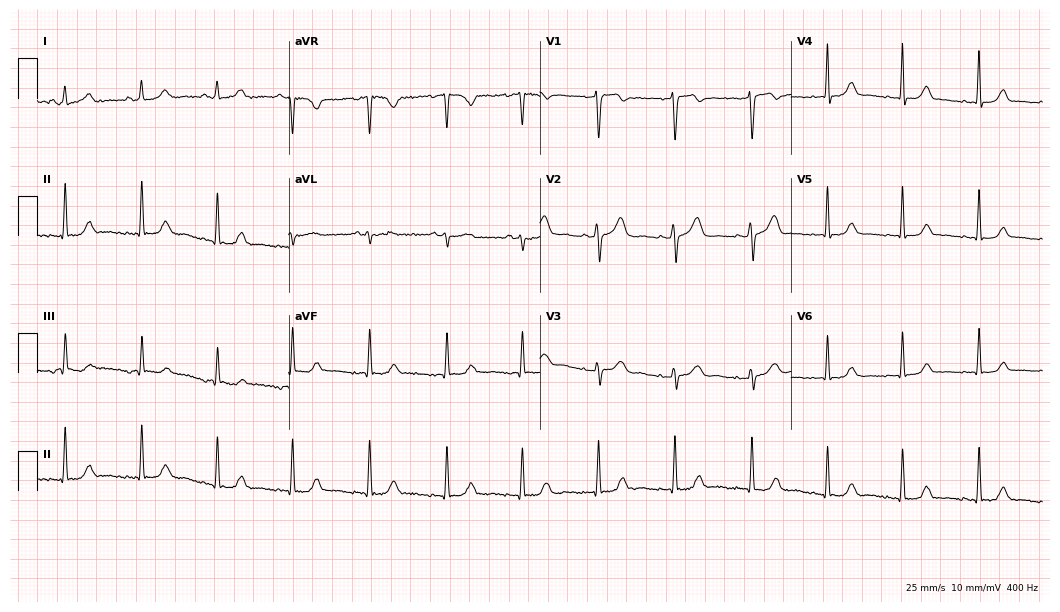
Standard 12-lead ECG recorded from a woman, 54 years old. Read as a normal ECG.